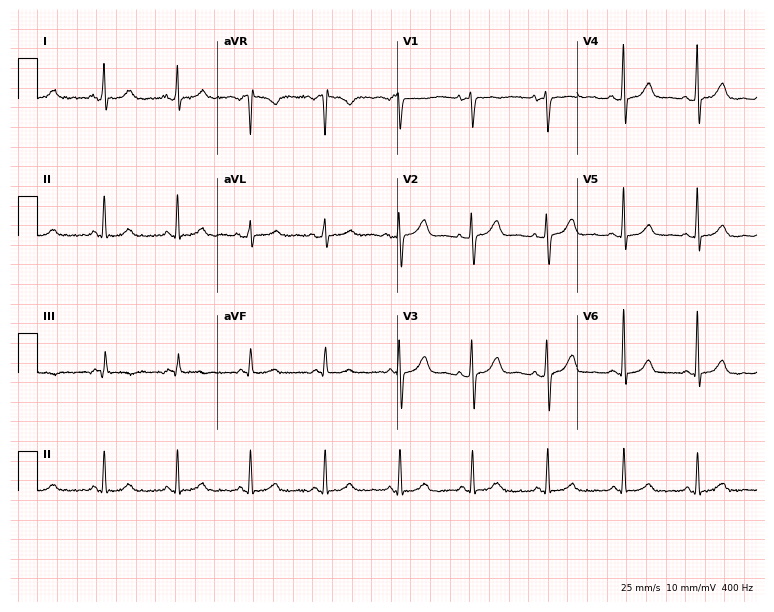
Standard 12-lead ECG recorded from a female patient, 65 years old (7.3-second recording at 400 Hz). Read as a normal ECG.